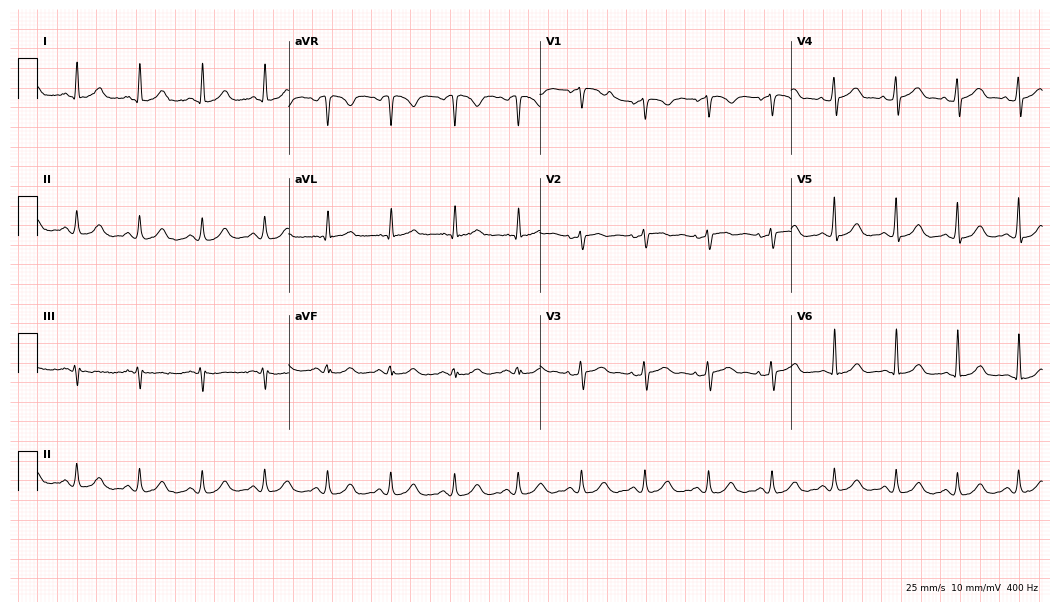
12-lead ECG (10.2-second recording at 400 Hz) from a female patient, 65 years old. Labelled as a normal ECG.